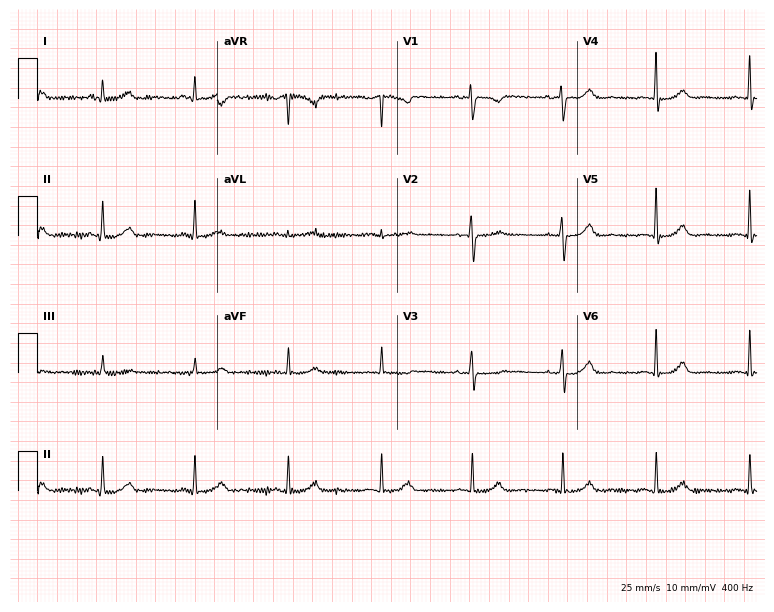
Standard 12-lead ECG recorded from a man, 47 years old (7.3-second recording at 400 Hz). None of these six findings is recorded: first-degree AV block, right bundle branch block, left bundle branch block, sinus bradycardia, atrial fibrillation, sinus tachycardia.